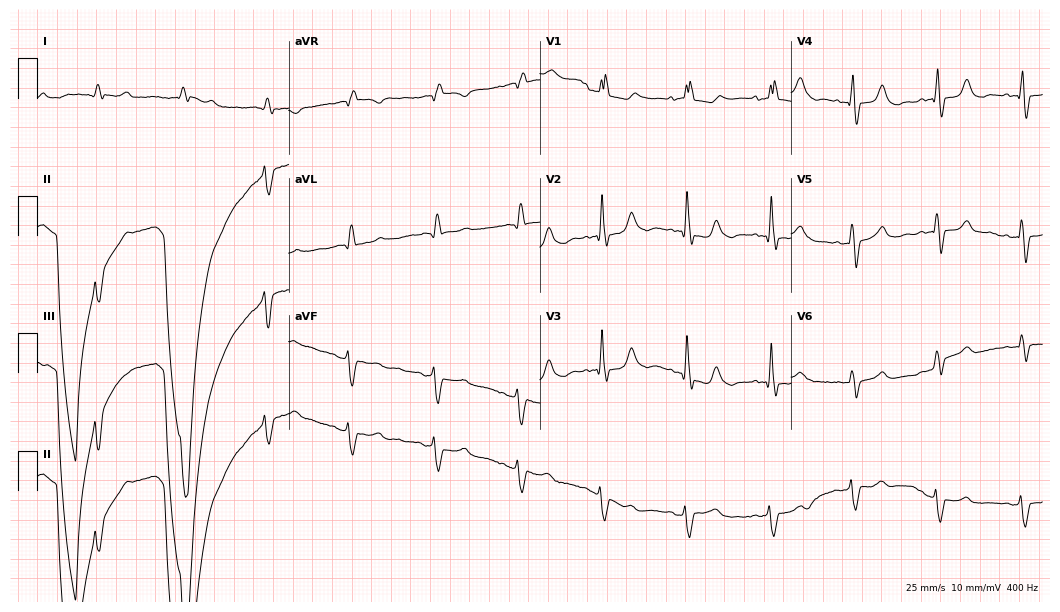
ECG — an 84-year-old male. Screened for six findings — first-degree AV block, right bundle branch block, left bundle branch block, sinus bradycardia, atrial fibrillation, sinus tachycardia — none is recorded. Other findings, if any, are not listed.